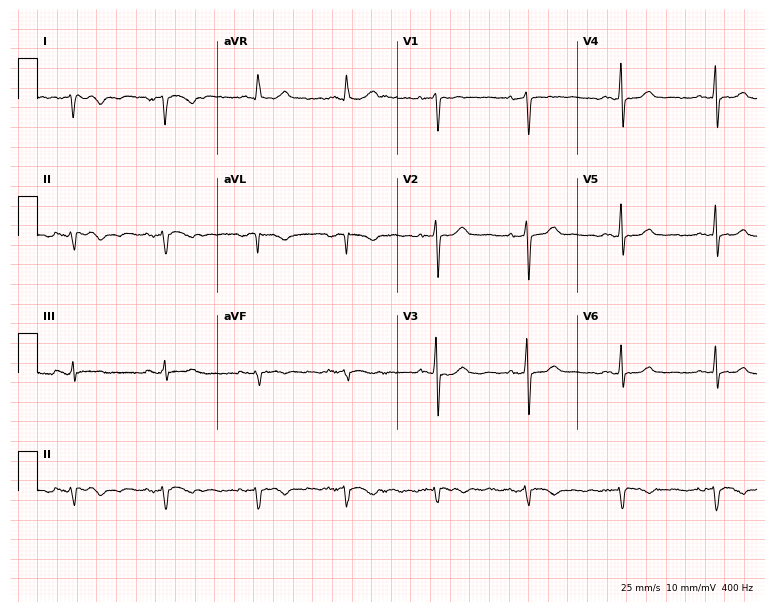
Electrocardiogram, a 70-year-old female. Of the six screened findings (first-degree AV block, right bundle branch block, left bundle branch block, sinus bradycardia, atrial fibrillation, sinus tachycardia), none is recorded.